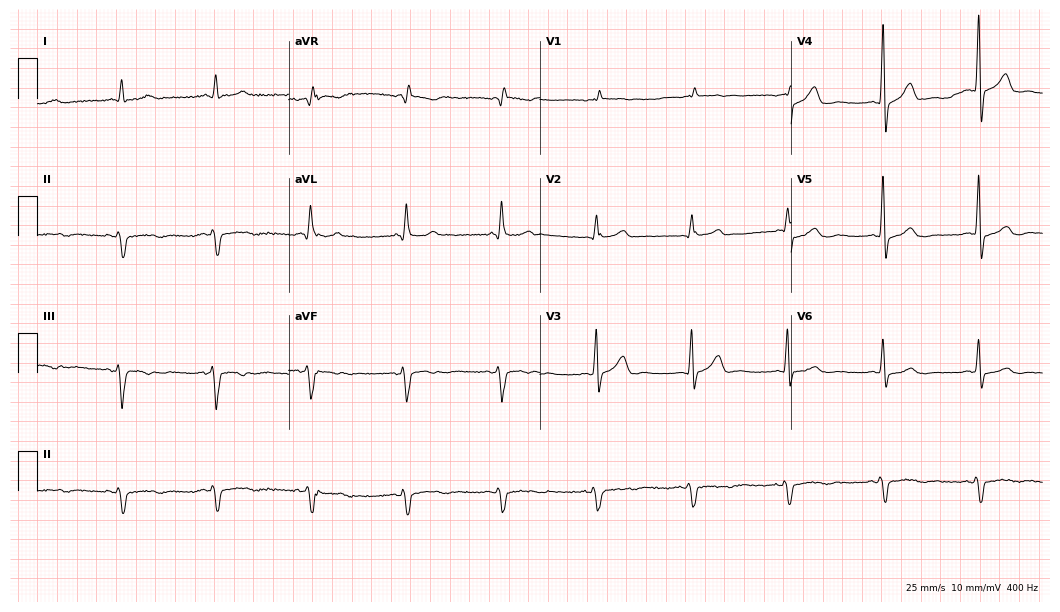
Resting 12-lead electrocardiogram. Patient: a 63-year-old male. None of these six findings is recorded: first-degree AV block, right bundle branch block (RBBB), left bundle branch block (LBBB), sinus bradycardia, atrial fibrillation (AF), sinus tachycardia. Findings outside these six are not listed.